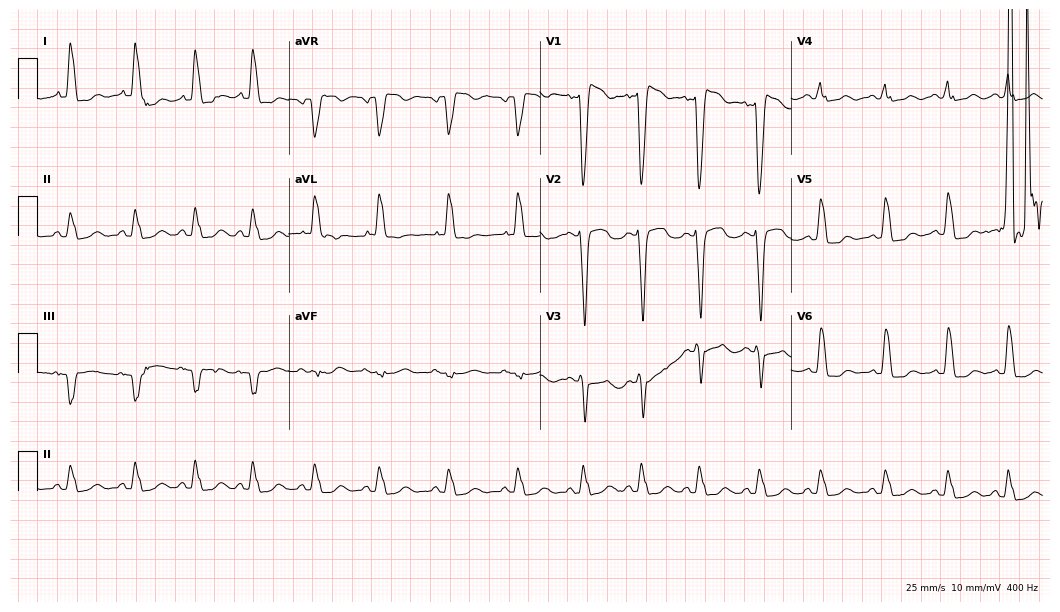
12-lead ECG from a female patient, 54 years old. Findings include left bundle branch block.